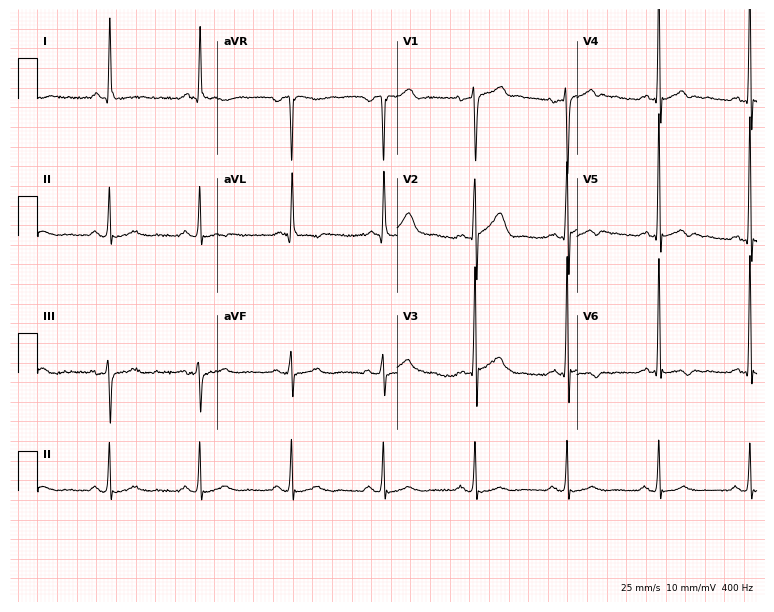
12-lead ECG from a 61-year-old man. Screened for six findings — first-degree AV block, right bundle branch block, left bundle branch block, sinus bradycardia, atrial fibrillation, sinus tachycardia — none is recorded.